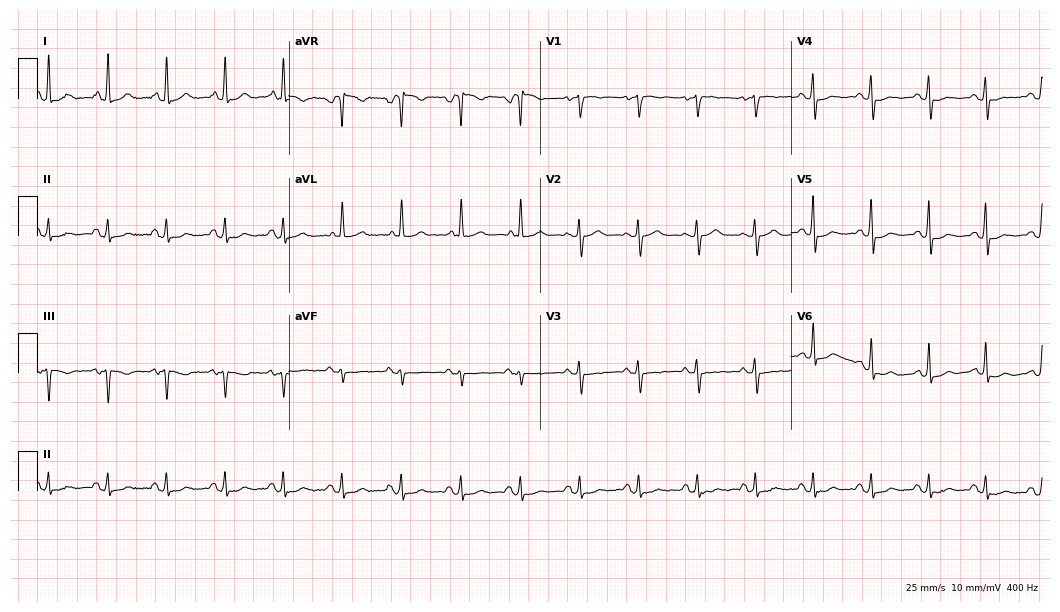
Standard 12-lead ECG recorded from a male patient, 62 years old. The tracing shows sinus tachycardia (a sinus rate of 100 beats per minute or more).